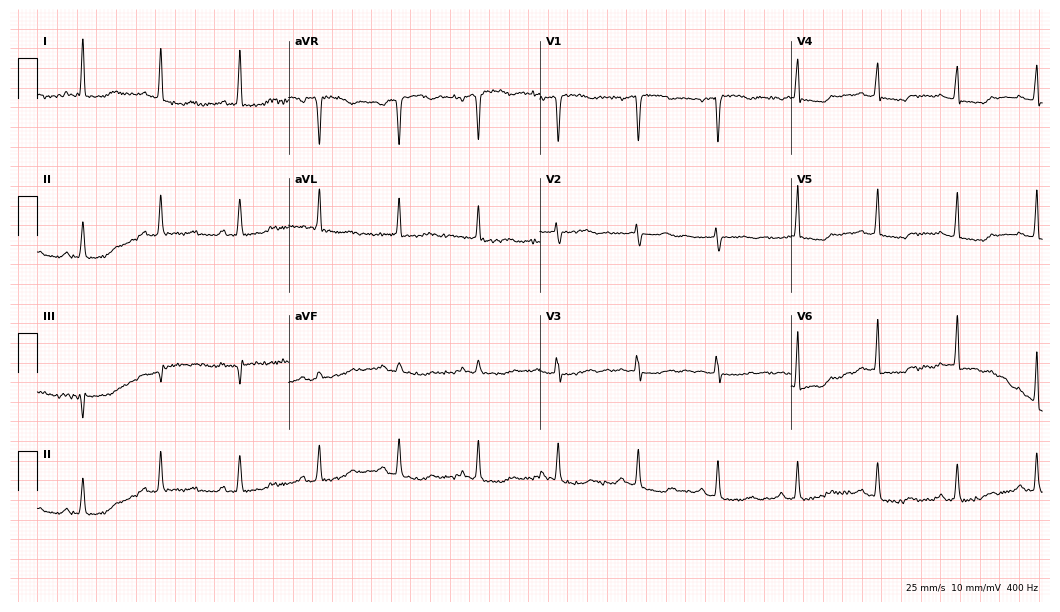
Electrocardiogram (10.2-second recording at 400 Hz), a female, 79 years old. Of the six screened findings (first-degree AV block, right bundle branch block, left bundle branch block, sinus bradycardia, atrial fibrillation, sinus tachycardia), none is recorded. Other findings, if any, are not listed.